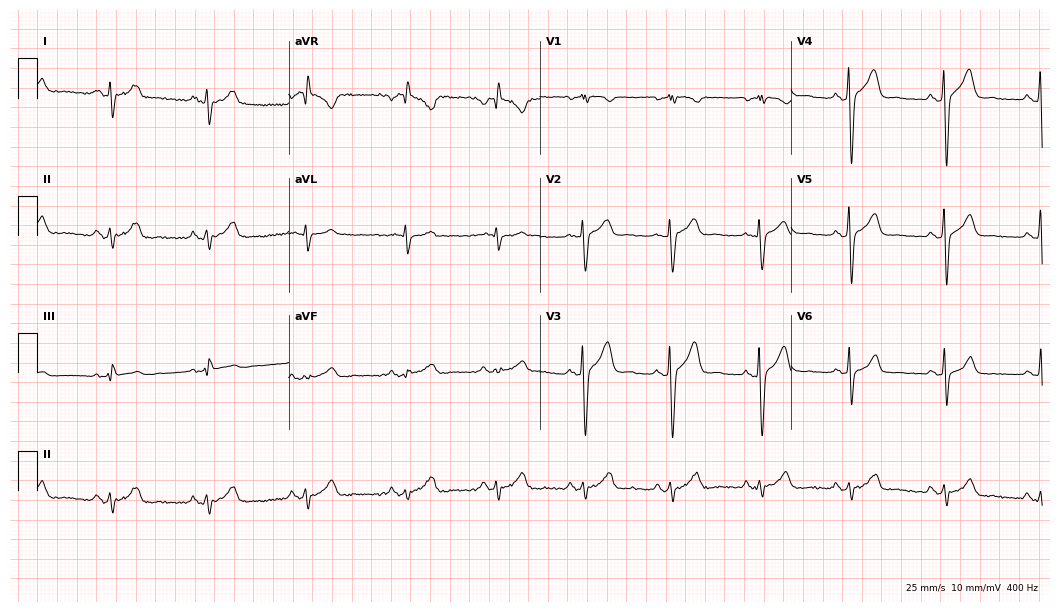
12-lead ECG from a 29-year-old man (10.2-second recording at 400 Hz). No first-degree AV block, right bundle branch block, left bundle branch block, sinus bradycardia, atrial fibrillation or sinus tachycardia recorded for this tracing. Other findings, if any, are not listed.